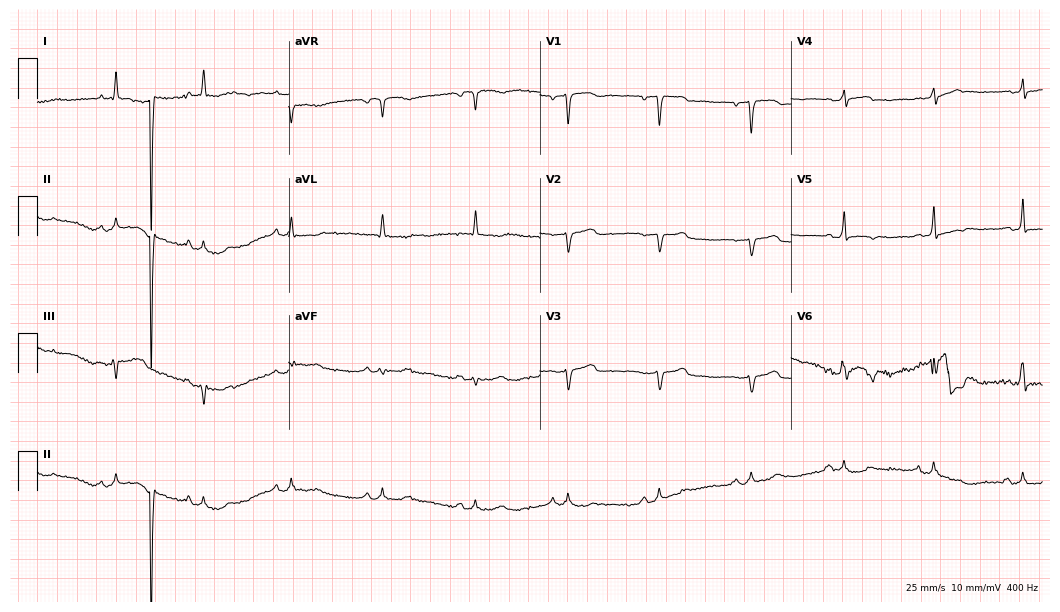
Standard 12-lead ECG recorded from a woman, 73 years old. None of these six findings is recorded: first-degree AV block, right bundle branch block, left bundle branch block, sinus bradycardia, atrial fibrillation, sinus tachycardia.